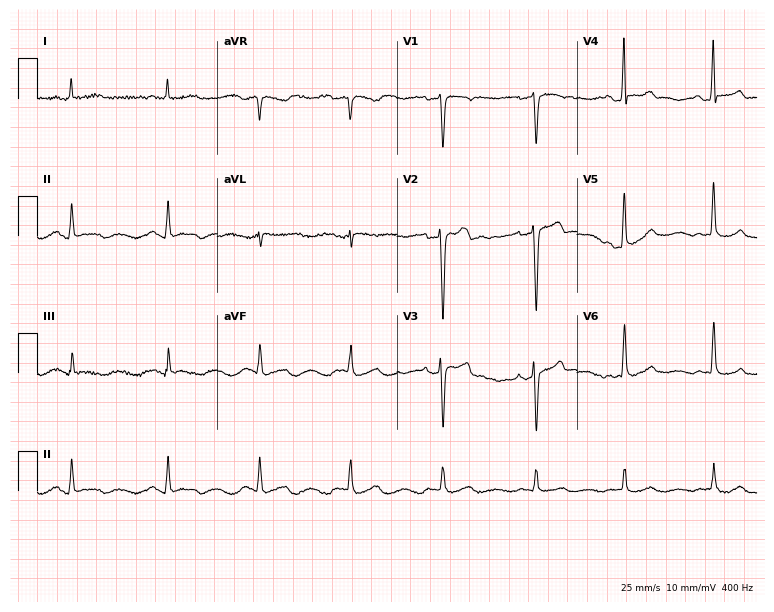
Resting 12-lead electrocardiogram. Patient: a woman, 42 years old. Read as a normal ECG.